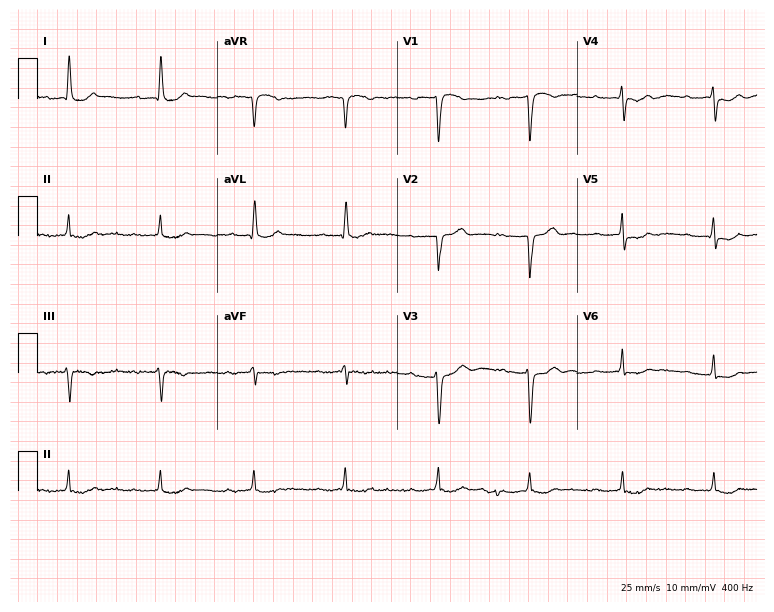
12-lead ECG (7.3-second recording at 400 Hz) from a man, 83 years old. Findings include first-degree AV block.